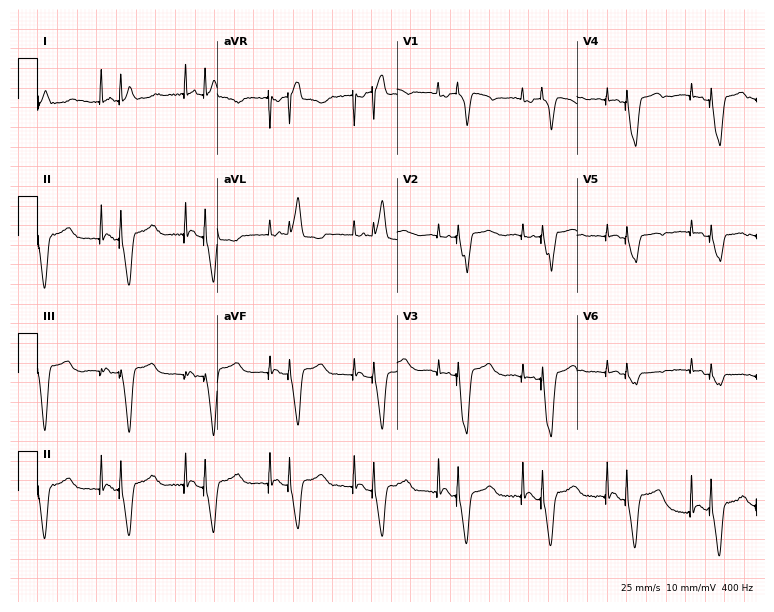
Electrocardiogram (7.3-second recording at 400 Hz), a 50-year-old male patient. Of the six screened findings (first-degree AV block, right bundle branch block (RBBB), left bundle branch block (LBBB), sinus bradycardia, atrial fibrillation (AF), sinus tachycardia), none is recorded.